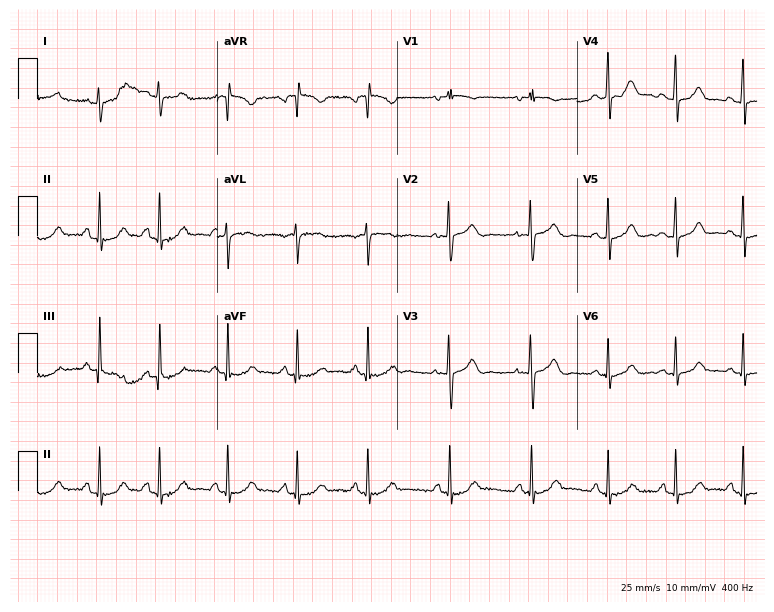
Electrocardiogram (7.3-second recording at 400 Hz), a 20-year-old woman. Overall reading on record: normal ECG.